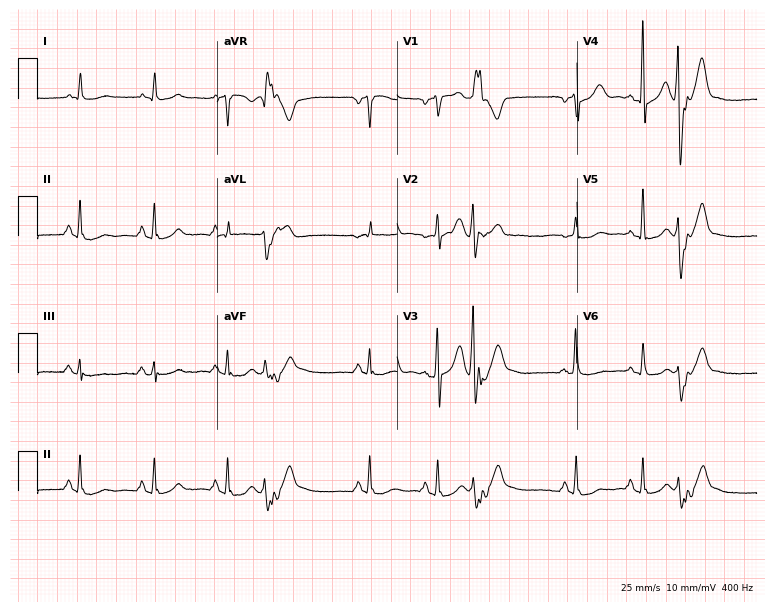
12-lead ECG (7.3-second recording at 400 Hz) from a male patient, 57 years old. Screened for six findings — first-degree AV block, right bundle branch block, left bundle branch block, sinus bradycardia, atrial fibrillation, sinus tachycardia — none is recorded. Only these six findings were labelled.